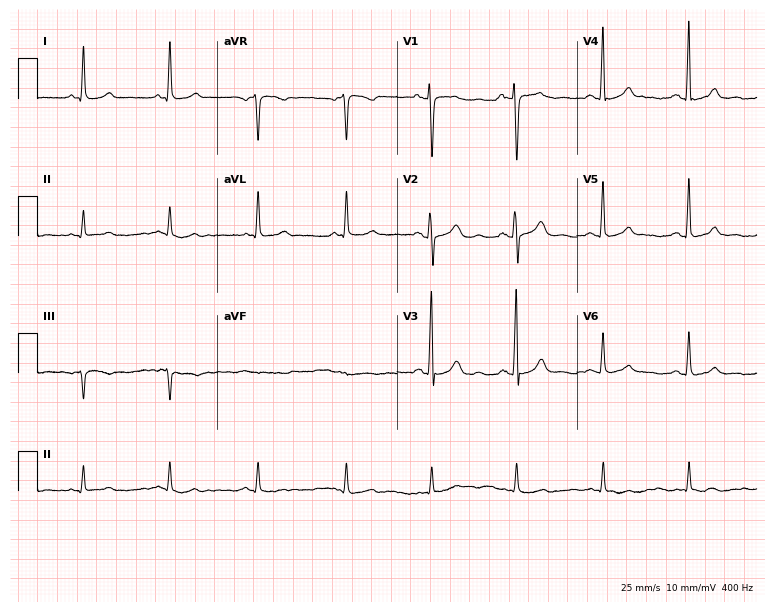
Standard 12-lead ECG recorded from a 49-year-old female patient. Read as a normal ECG.